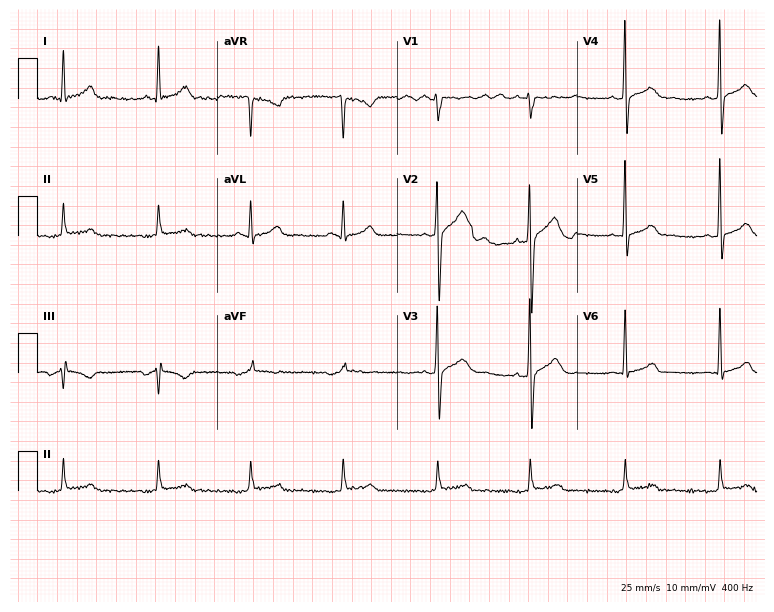
12-lead ECG from a 30-year-old male patient. Labelled as a normal ECG.